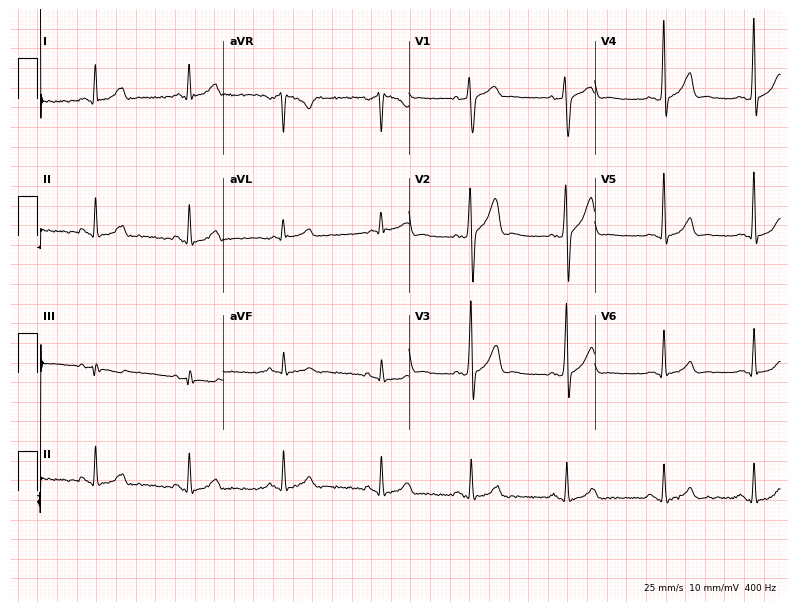
Electrocardiogram, a male, 25 years old. Overall reading on record: normal ECG.